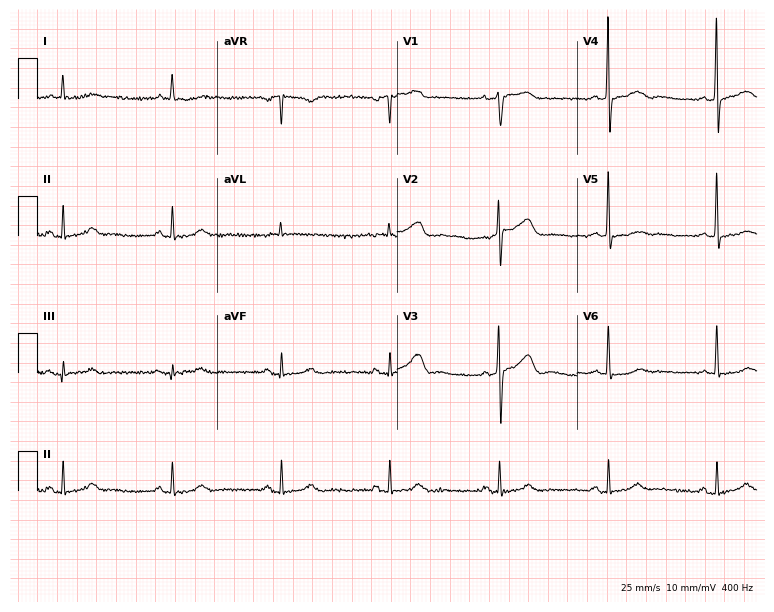
Electrocardiogram (7.3-second recording at 400 Hz), a man, 72 years old. Of the six screened findings (first-degree AV block, right bundle branch block, left bundle branch block, sinus bradycardia, atrial fibrillation, sinus tachycardia), none is recorded. Only these six findings were labelled.